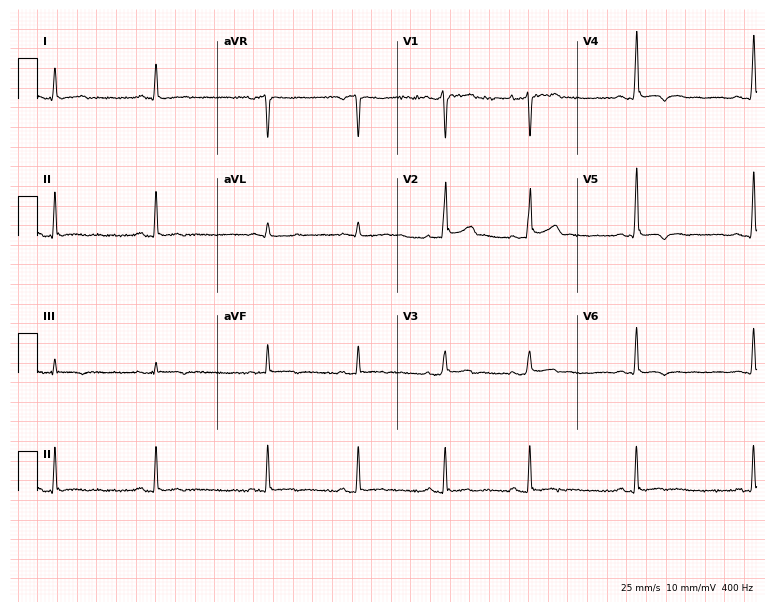
12-lead ECG from a 32-year-old male patient. Recorded interpretation: within normal limits.